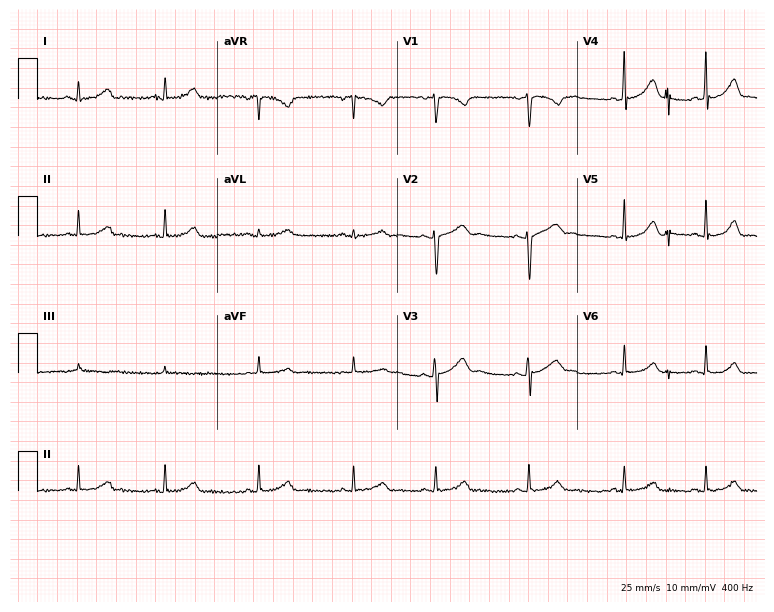
12-lead ECG from a 19-year-old female patient (7.3-second recording at 400 Hz). No first-degree AV block, right bundle branch block (RBBB), left bundle branch block (LBBB), sinus bradycardia, atrial fibrillation (AF) or sinus tachycardia recorded for this tracing.